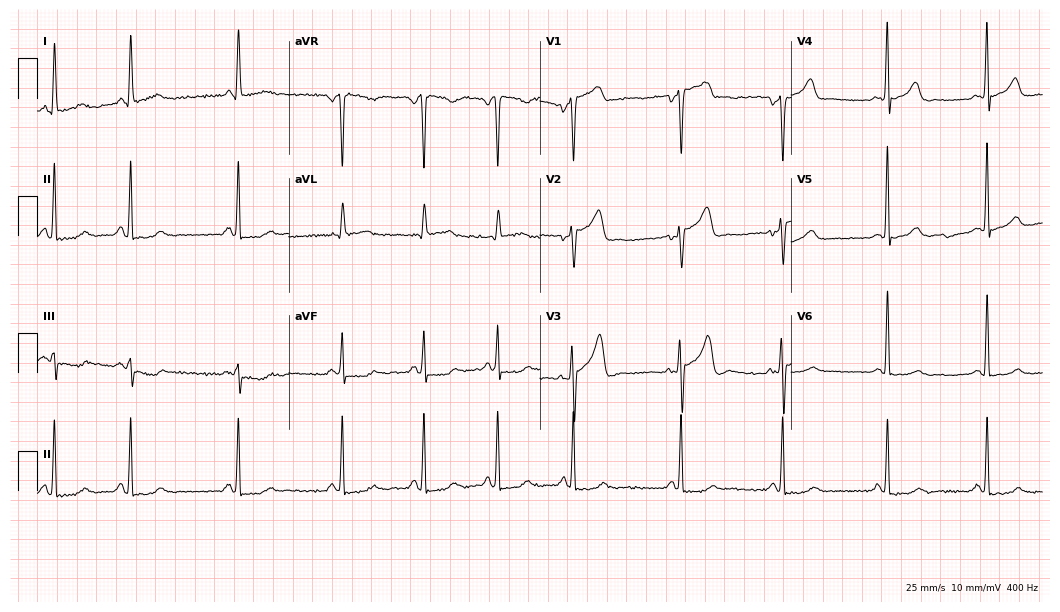
Resting 12-lead electrocardiogram (10.2-second recording at 400 Hz). Patient: a 58-year-old female. None of these six findings is recorded: first-degree AV block, right bundle branch block, left bundle branch block, sinus bradycardia, atrial fibrillation, sinus tachycardia. Findings outside these six are not listed.